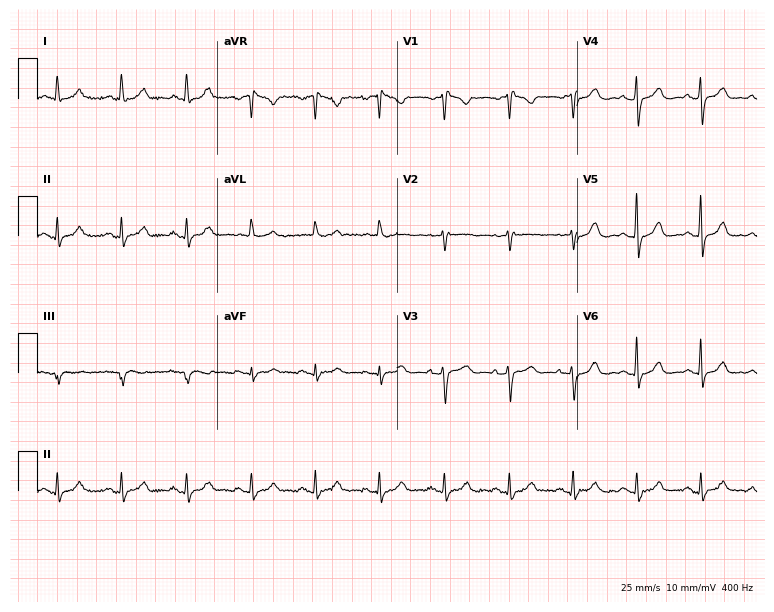
Standard 12-lead ECG recorded from a woman, 70 years old (7.3-second recording at 400 Hz). None of these six findings is recorded: first-degree AV block, right bundle branch block, left bundle branch block, sinus bradycardia, atrial fibrillation, sinus tachycardia. Other findings, if any, are not listed.